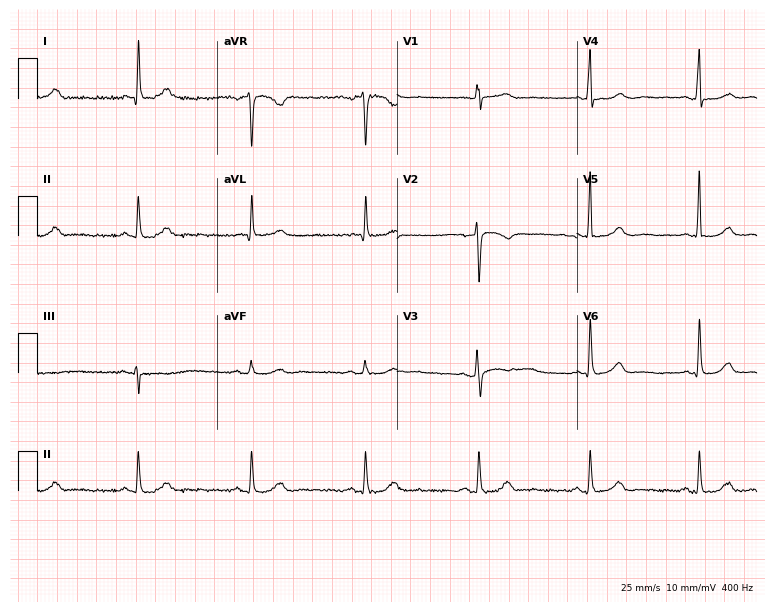
12-lead ECG from a woman, 47 years old (7.3-second recording at 400 Hz). No first-degree AV block, right bundle branch block, left bundle branch block, sinus bradycardia, atrial fibrillation or sinus tachycardia recorded for this tracing.